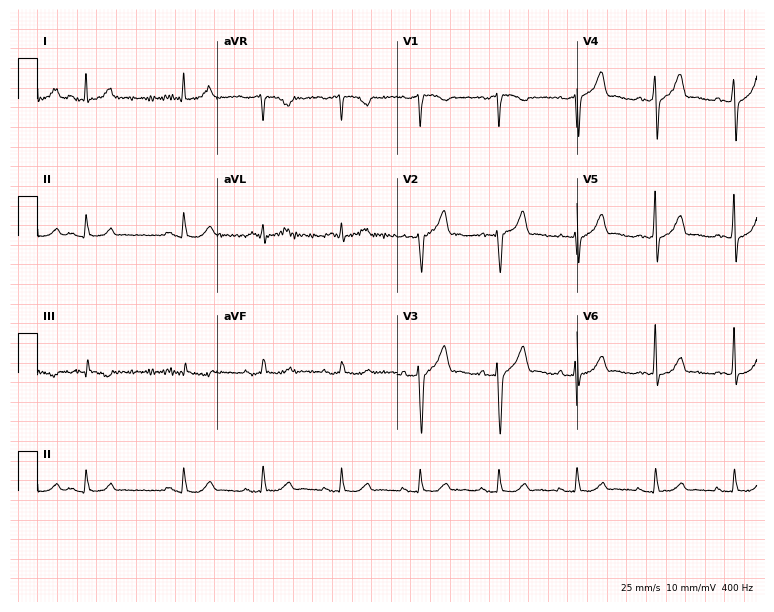
Standard 12-lead ECG recorded from a 78-year-old man (7.3-second recording at 400 Hz). Read as a normal ECG.